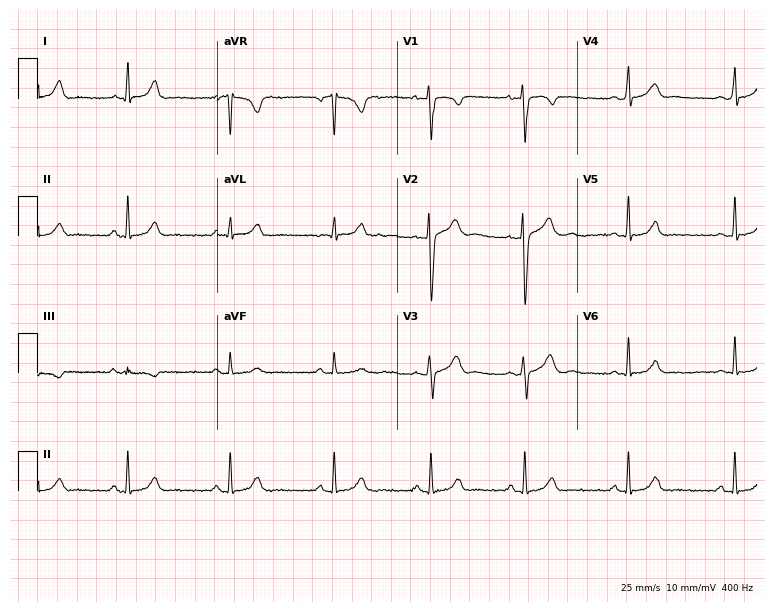
12-lead ECG from a 29-year-old woman (7.3-second recording at 400 Hz). No first-degree AV block, right bundle branch block, left bundle branch block, sinus bradycardia, atrial fibrillation or sinus tachycardia recorded for this tracing. Other findings, if any, are not listed.